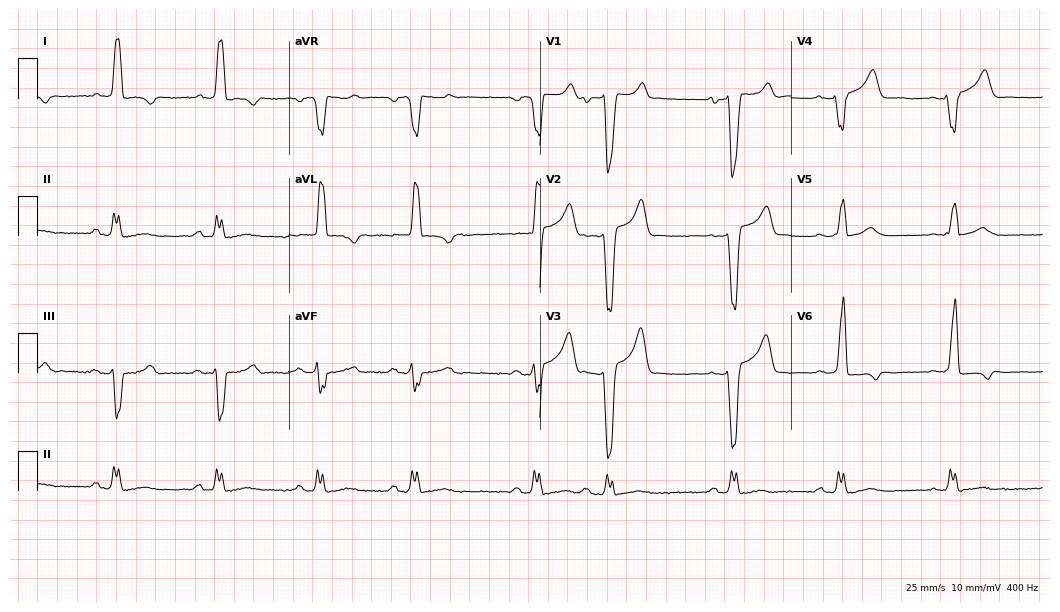
Standard 12-lead ECG recorded from a 77-year-old female patient. The tracing shows left bundle branch block.